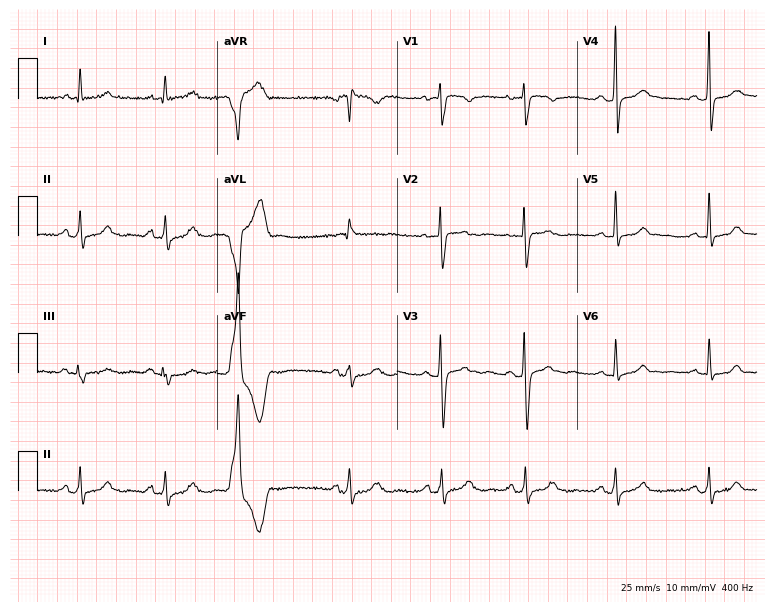
12-lead ECG from a female patient, 32 years old. Recorded interpretation: within normal limits.